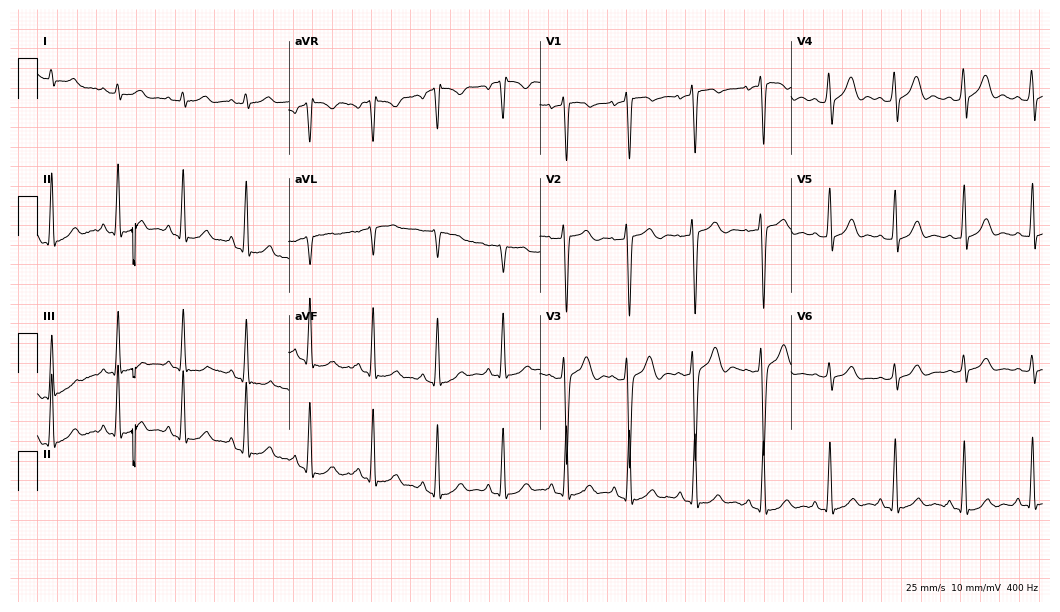
12-lead ECG (10.2-second recording at 400 Hz) from a male, 19 years old. Labelled as a normal ECG.